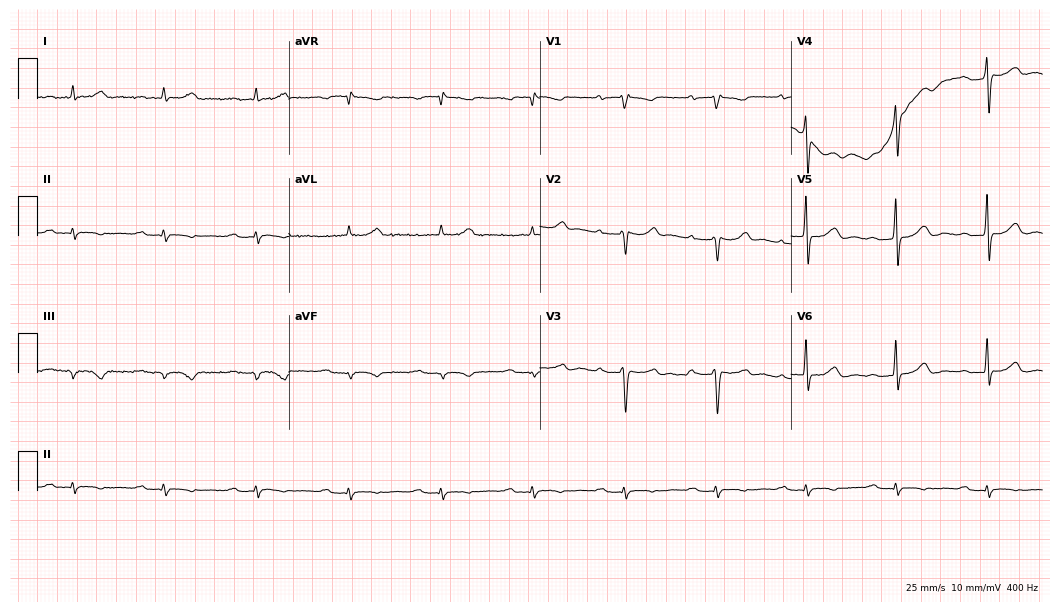
12-lead ECG (10.2-second recording at 400 Hz) from a 79-year-old male patient. Findings include first-degree AV block.